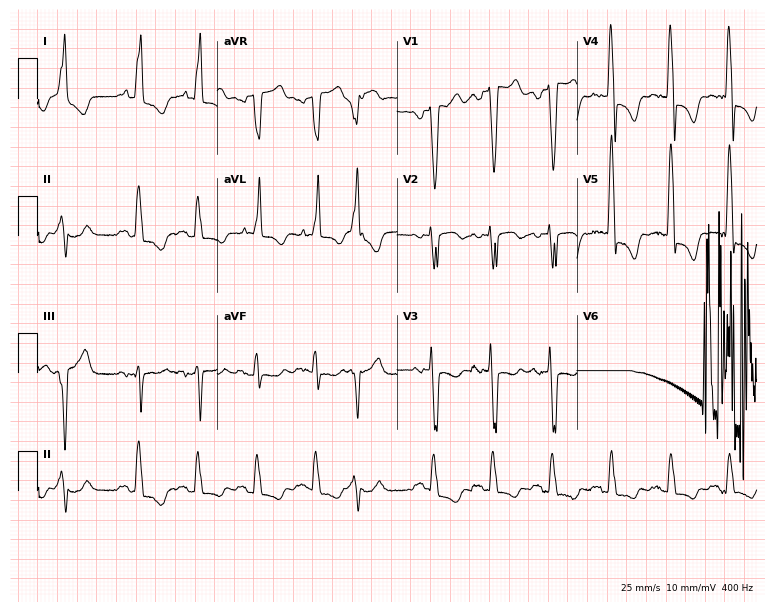
Resting 12-lead electrocardiogram (7.3-second recording at 400 Hz). Patient: an 82-year-old male. None of these six findings is recorded: first-degree AV block, right bundle branch block, left bundle branch block, sinus bradycardia, atrial fibrillation, sinus tachycardia.